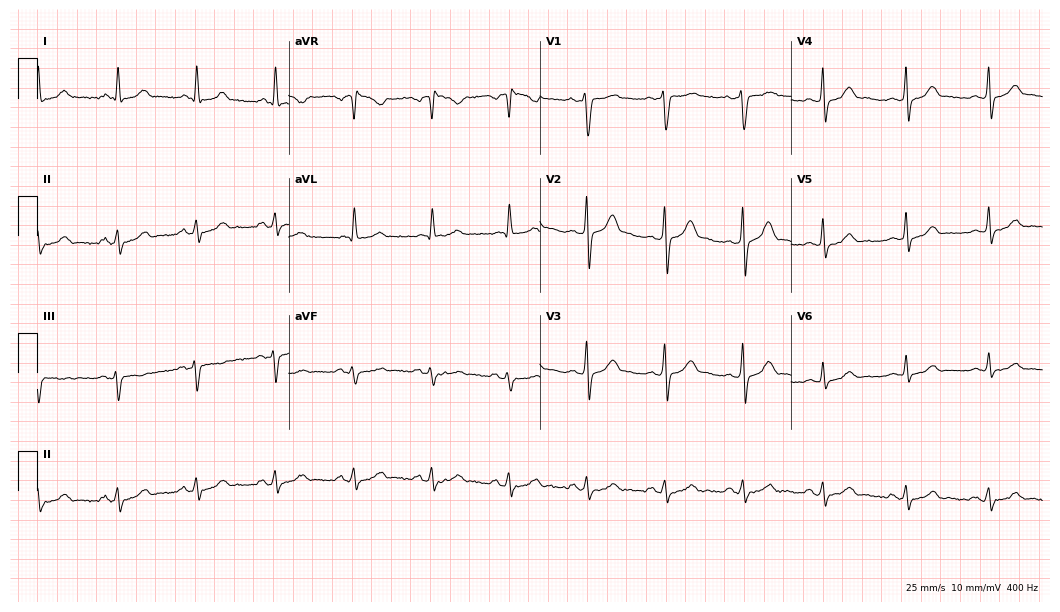
Standard 12-lead ECG recorded from a male, 55 years old. None of these six findings is recorded: first-degree AV block, right bundle branch block (RBBB), left bundle branch block (LBBB), sinus bradycardia, atrial fibrillation (AF), sinus tachycardia.